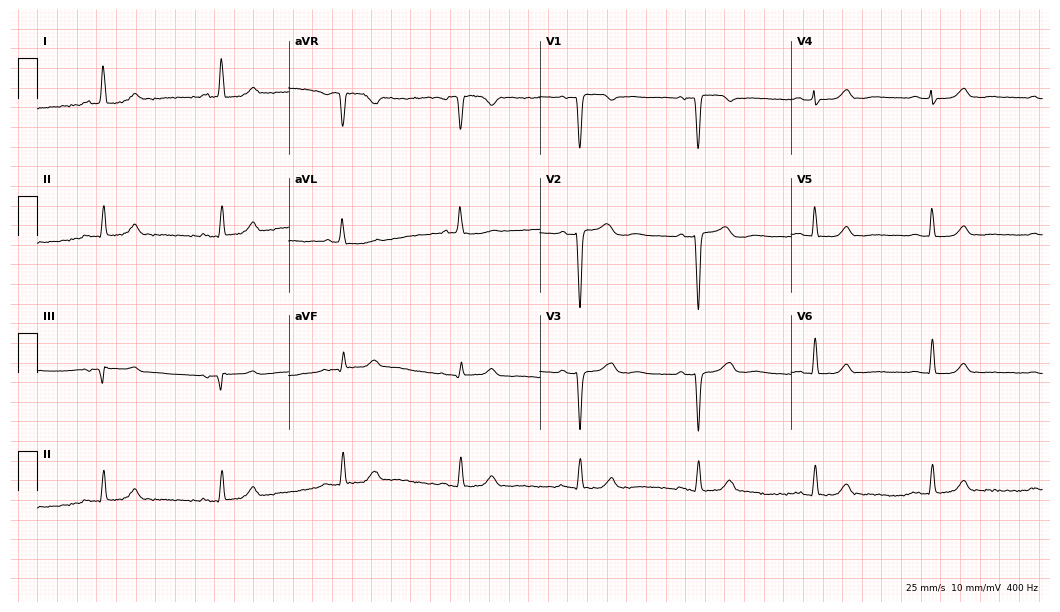
Electrocardiogram (10.2-second recording at 400 Hz), a 74-year-old female. Overall reading on record: normal ECG.